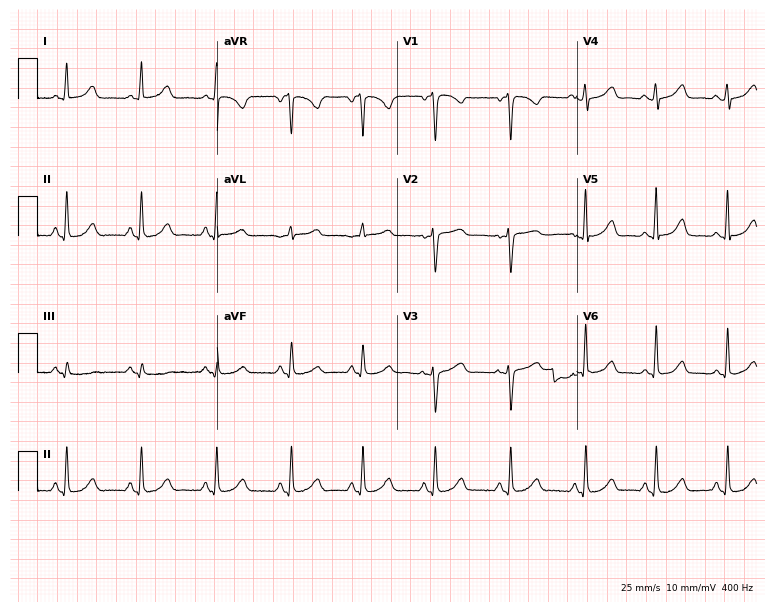
Electrocardiogram, a female, 52 years old. Overall reading on record: normal ECG.